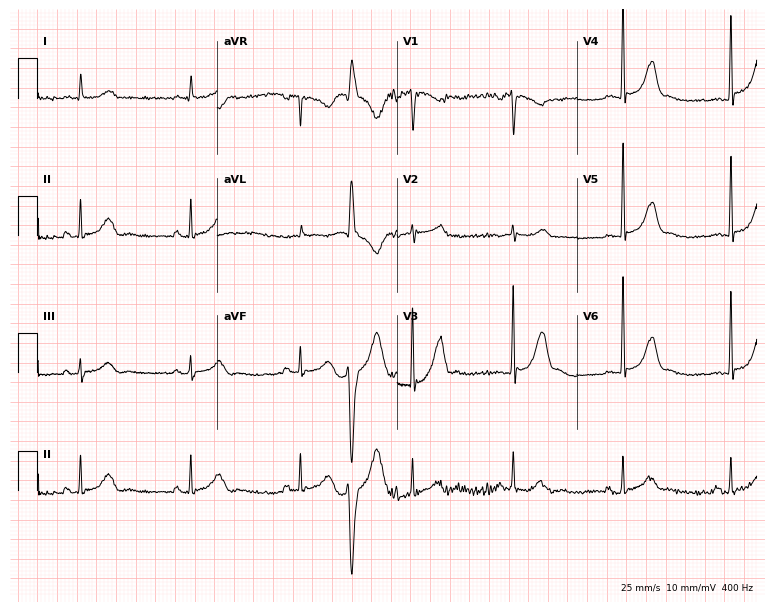
ECG (7.3-second recording at 400 Hz) — a 69-year-old man. Screened for six findings — first-degree AV block, right bundle branch block (RBBB), left bundle branch block (LBBB), sinus bradycardia, atrial fibrillation (AF), sinus tachycardia — none is recorded. Only these six findings were labelled.